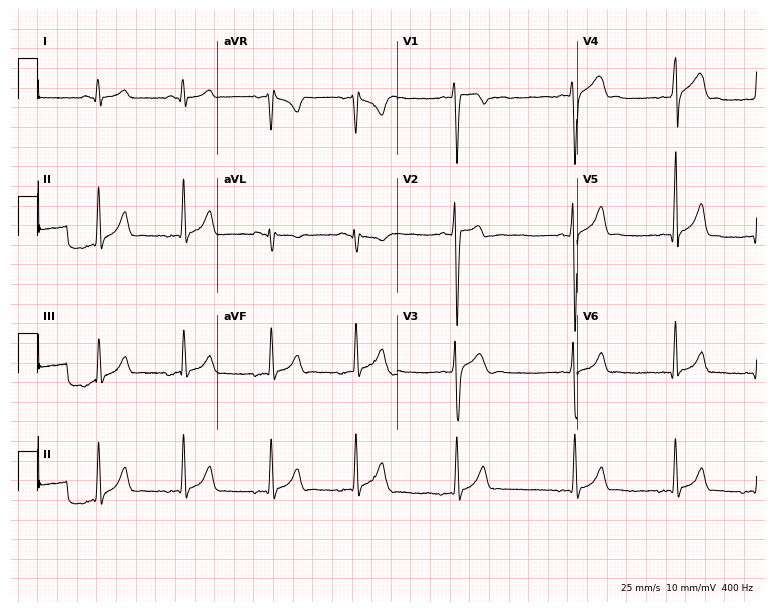
Standard 12-lead ECG recorded from a male, 17 years old (7.3-second recording at 400 Hz). None of these six findings is recorded: first-degree AV block, right bundle branch block, left bundle branch block, sinus bradycardia, atrial fibrillation, sinus tachycardia.